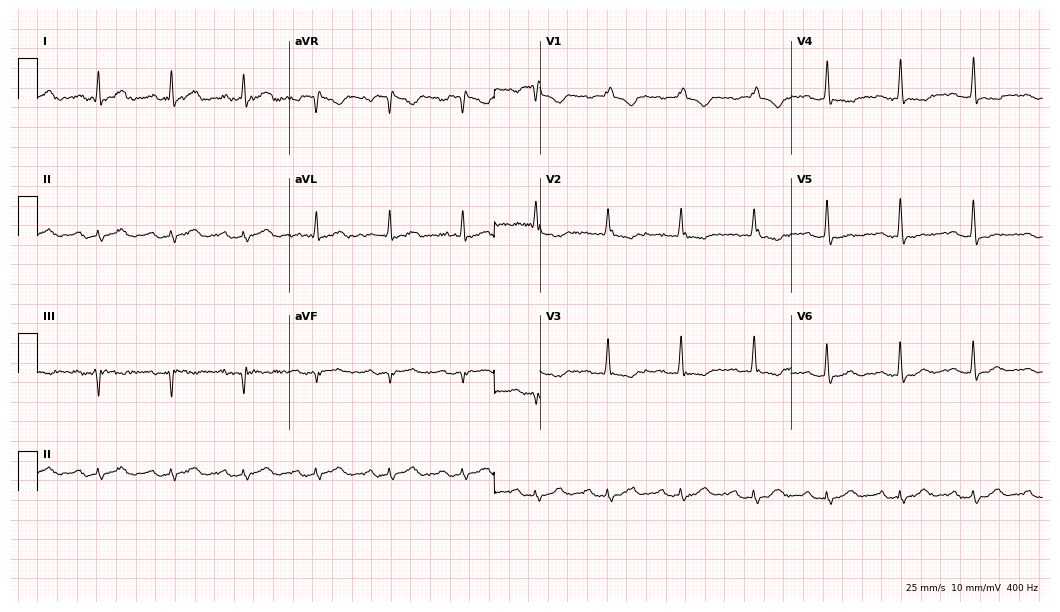
Resting 12-lead electrocardiogram (10.2-second recording at 400 Hz). Patient: a female, 64 years old. None of these six findings is recorded: first-degree AV block, right bundle branch block (RBBB), left bundle branch block (LBBB), sinus bradycardia, atrial fibrillation (AF), sinus tachycardia.